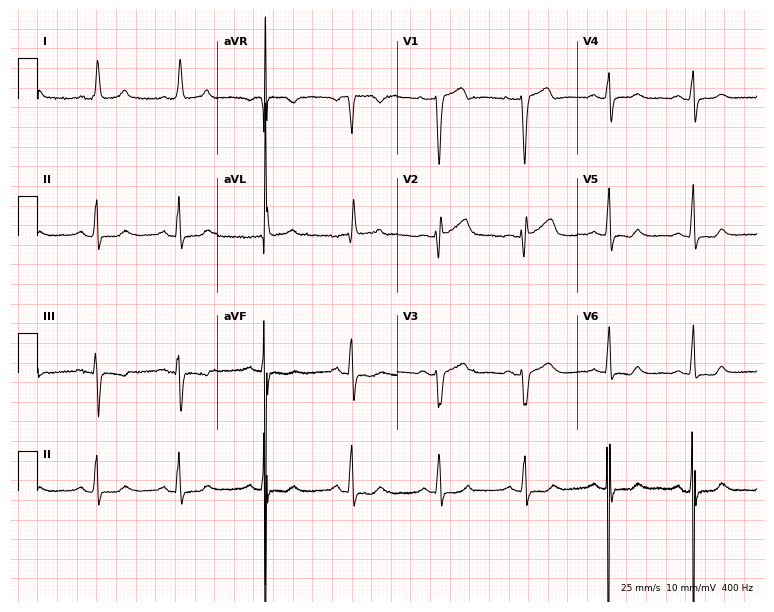
Electrocardiogram (7.3-second recording at 400 Hz), a female patient, 69 years old. Overall reading on record: normal ECG.